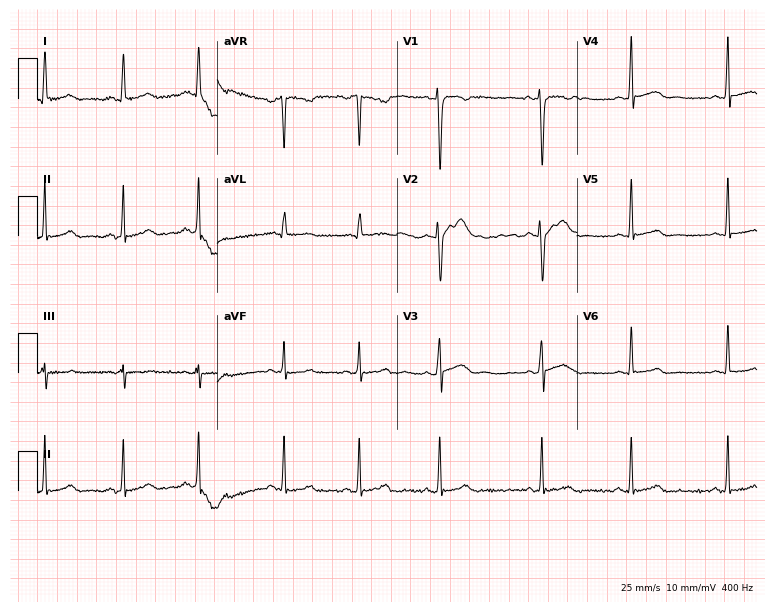
Standard 12-lead ECG recorded from an 18-year-old female patient. None of these six findings is recorded: first-degree AV block, right bundle branch block, left bundle branch block, sinus bradycardia, atrial fibrillation, sinus tachycardia.